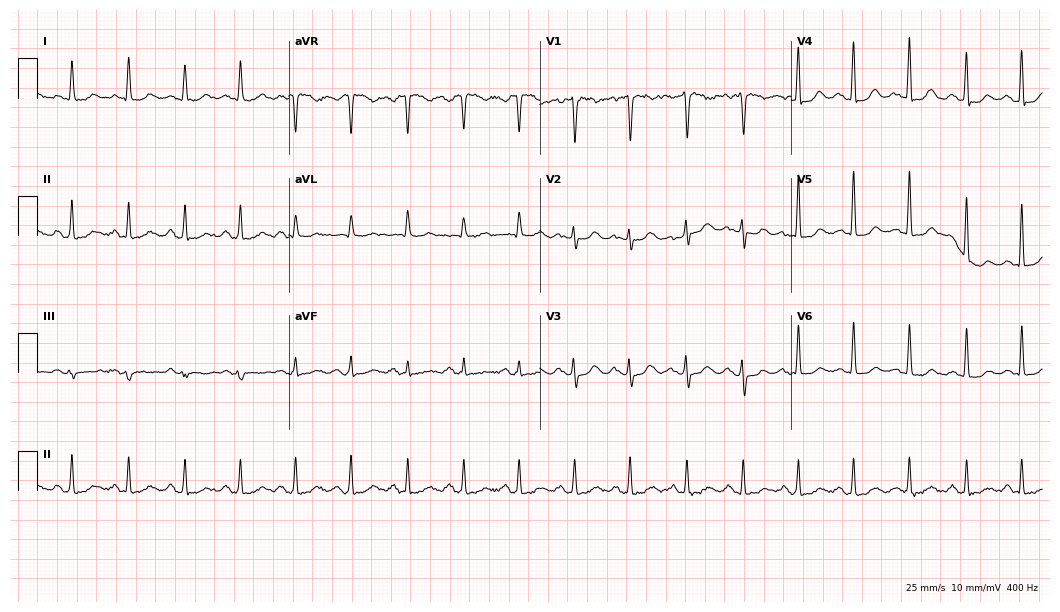
Resting 12-lead electrocardiogram. Patient: a female, 55 years old. None of these six findings is recorded: first-degree AV block, right bundle branch block (RBBB), left bundle branch block (LBBB), sinus bradycardia, atrial fibrillation (AF), sinus tachycardia. Other findings, if any, are not listed.